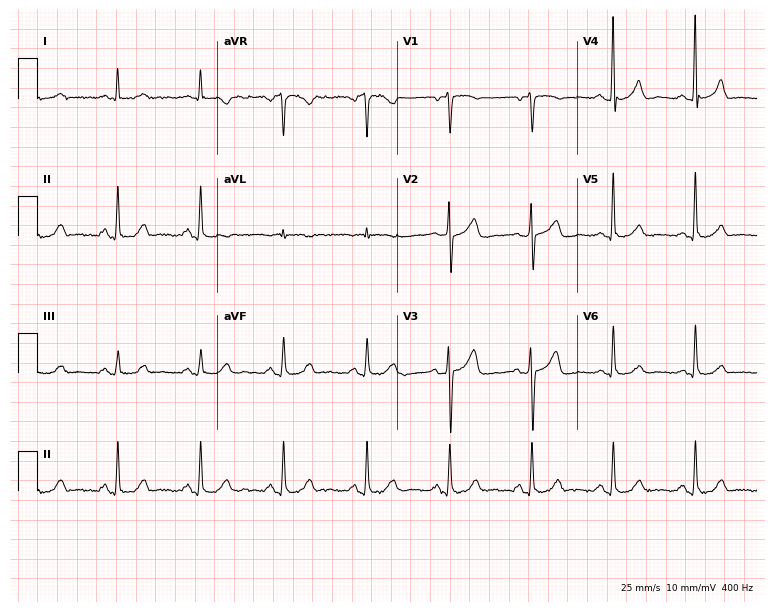
Standard 12-lead ECG recorded from a 65-year-old male (7.3-second recording at 400 Hz). Read as a normal ECG.